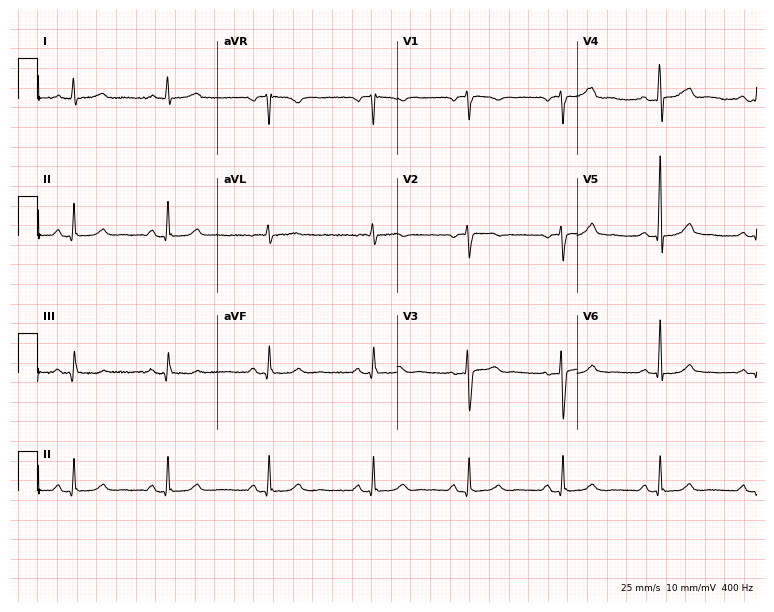
Standard 12-lead ECG recorded from a female, 45 years old (7.3-second recording at 400 Hz). Read as a normal ECG.